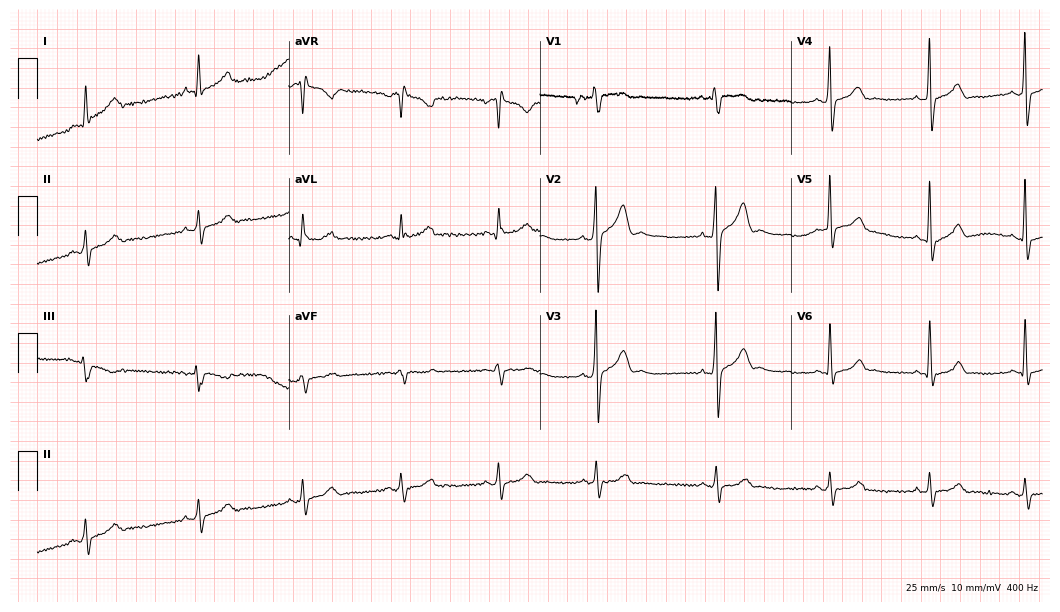
12-lead ECG from a male patient, 32 years old. Screened for six findings — first-degree AV block, right bundle branch block, left bundle branch block, sinus bradycardia, atrial fibrillation, sinus tachycardia — none is recorded. Other findings, if any, are not listed.